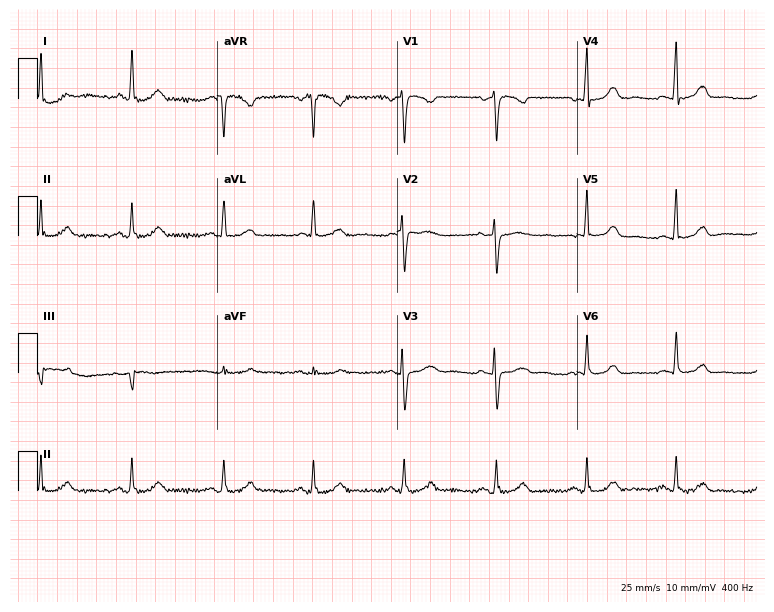
12-lead ECG from a 61-year-old female. Labelled as a normal ECG.